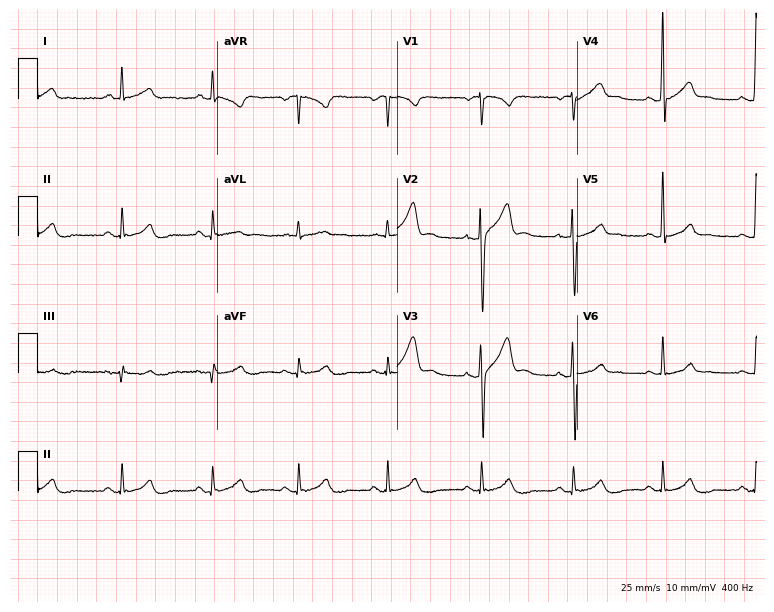
Resting 12-lead electrocardiogram. Patient: a man, 30 years old. Read as a normal ECG.